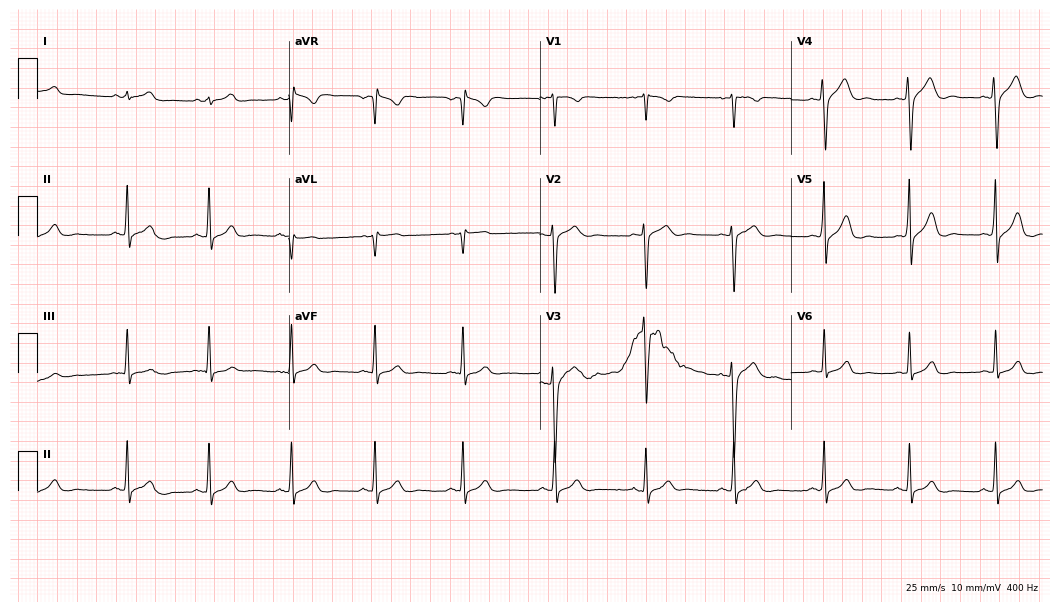
Standard 12-lead ECG recorded from a male patient, 18 years old (10.2-second recording at 400 Hz). None of these six findings is recorded: first-degree AV block, right bundle branch block (RBBB), left bundle branch block (LBBB), sinus bradycardia, atrial fibrillation (AF), sinus tachycardia. Only these six findings were labelled.